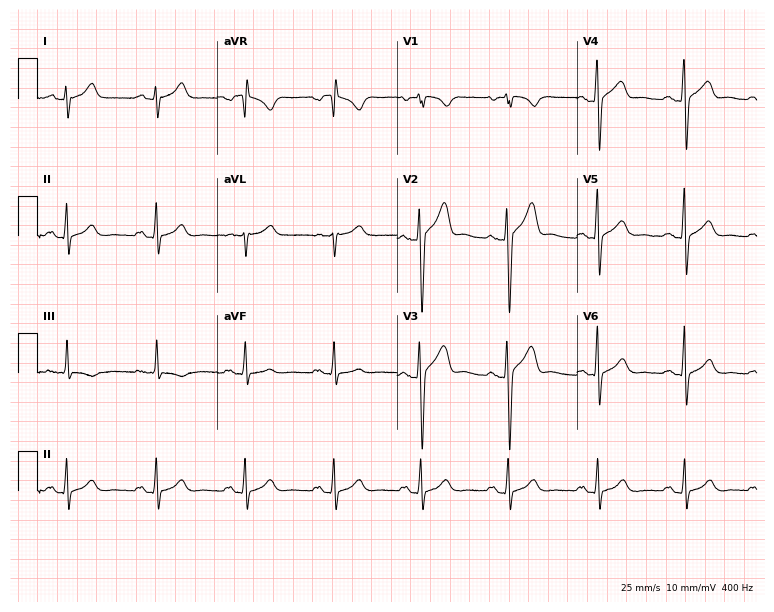
Electrocardiogram, a man, 41 years old. Of the six screened findings (first-degree AV block, right bundle branch block (RBBB), left bundle branch block (LBBB), sinus bradycardia, atrial fibrillation (AF), sinus tachycardia), none is recorded. Other findings, if any, are not listed.